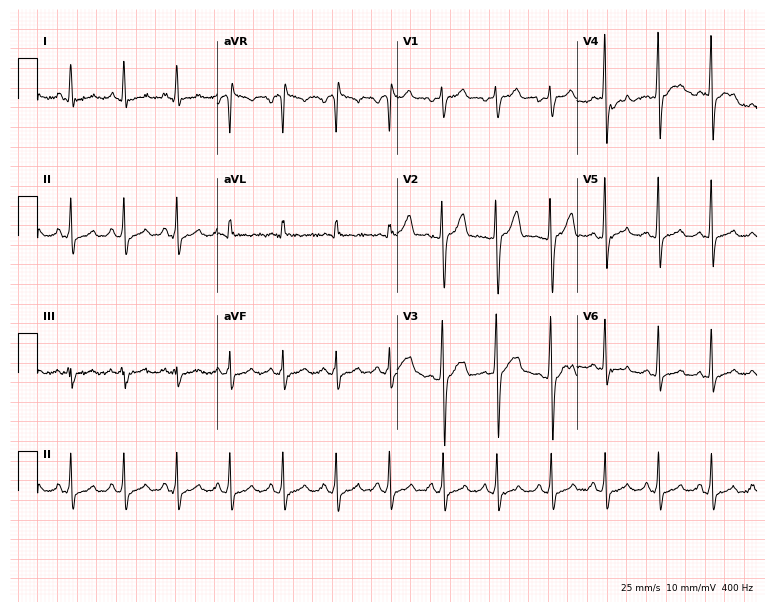
12-lead ECG from a man, 18 years old (7.3-second recording at 400 Hz). Shows sinus tachycardia (a sinus rate of 100 beats per minute or more).